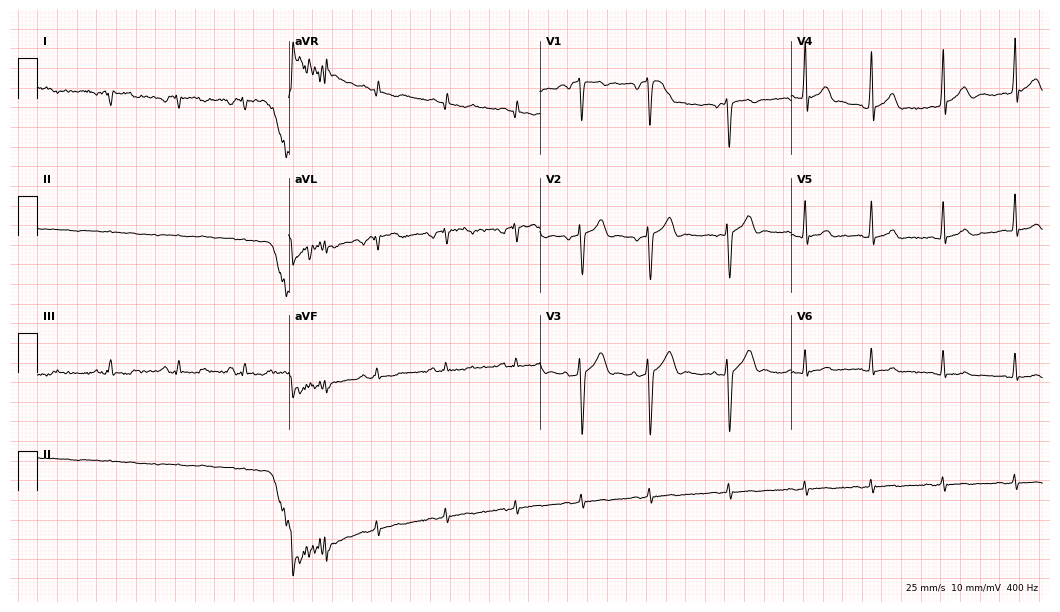
Electrocardiogram, a man, 19 years old. Of the six screened findings (first-degree AV block, right bundle branch block, left bundle branch block, sinus bradycardia, atrial fibrillation, sinus tachycardia), none is recorded.